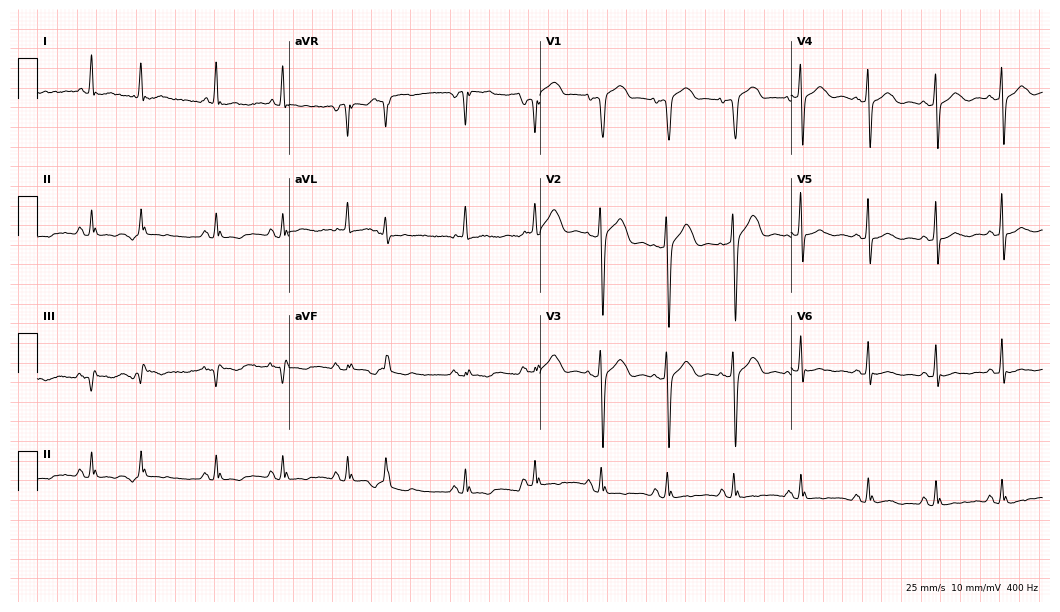
ECG (10.2-second recording at 400 Hz) — a female, 78 years old. Screened for six findings — first-degree AV block, right bundle branch block, left bundle branch block, sinus bradycardia, atrial fibrillation, sinus tachycardia — none is recorded.